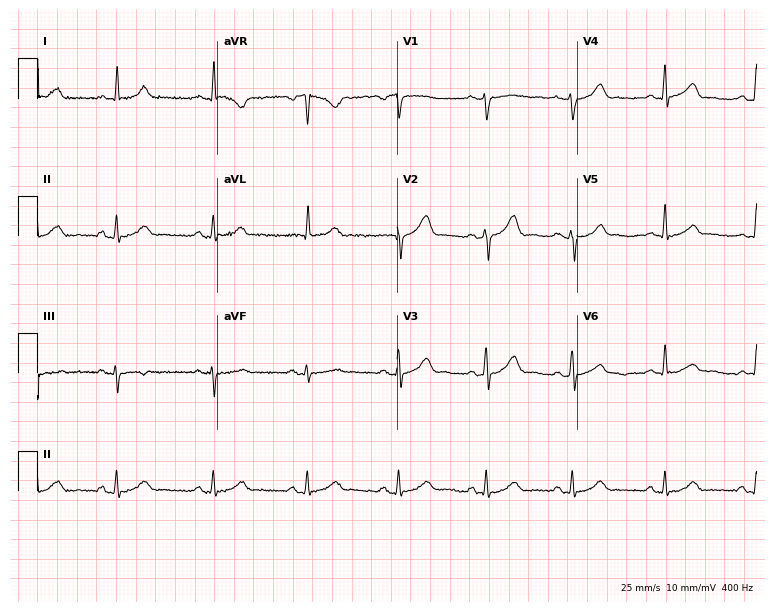
Electrocardiogram, a 34-year-old female. Overall reading on record: normal ECG.